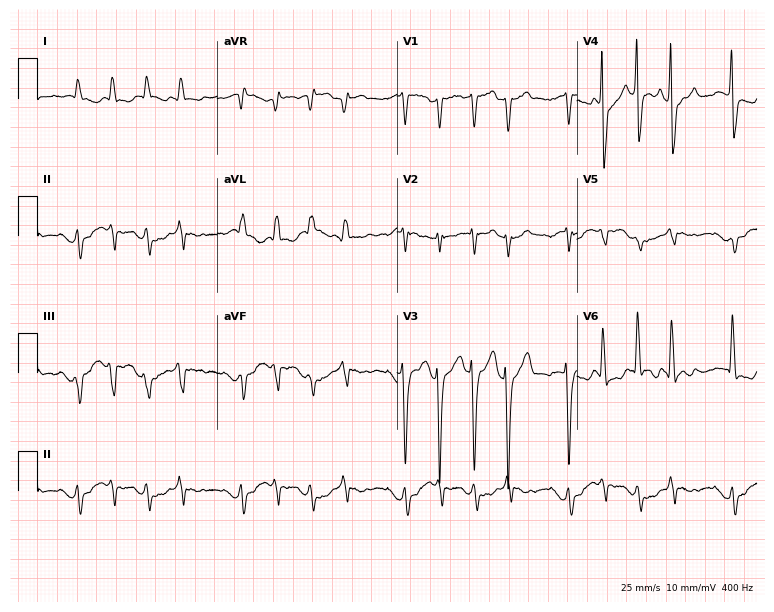
12-lead ECG from a 79-year-old male patient. Findings include atrial fibrillation.